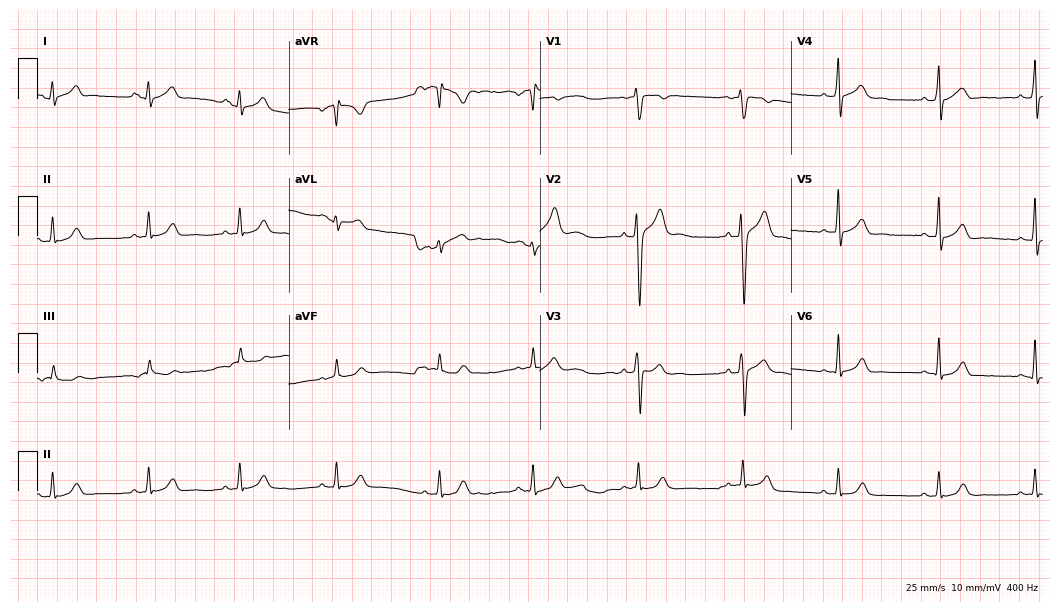
12-lead ECG (10.2-second recording at 400 Hz) from a man, 27 years old. Screened for six findings — first-degree AV block, right bundle branch block (RBBB), left bundle branch block (LBBB), sinus bradycardia, atrial fibrillation (AF), sinus tachycardia — none is recorded. Only these six findings were labelled.